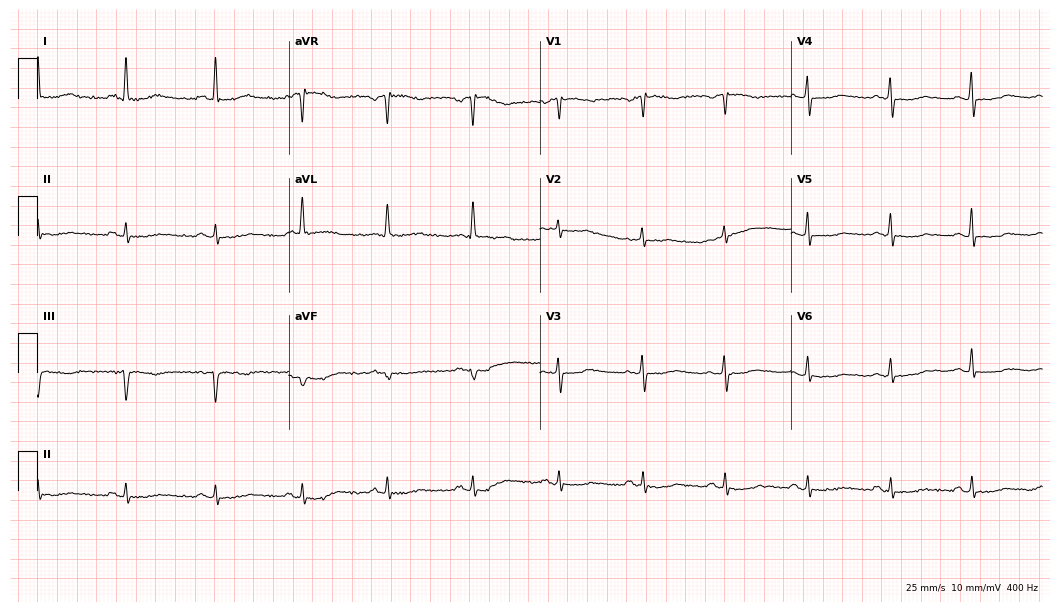
12-lead ECG from a woman, 59 years old (10.2-second recording at 400 Hz). No first-degree AV block, right bundle branch block, left bundle branch block, sinus bradycardia, atrial fibrillation or sinus tachycardia recorded for this tracing. Only these six findings were labelled.